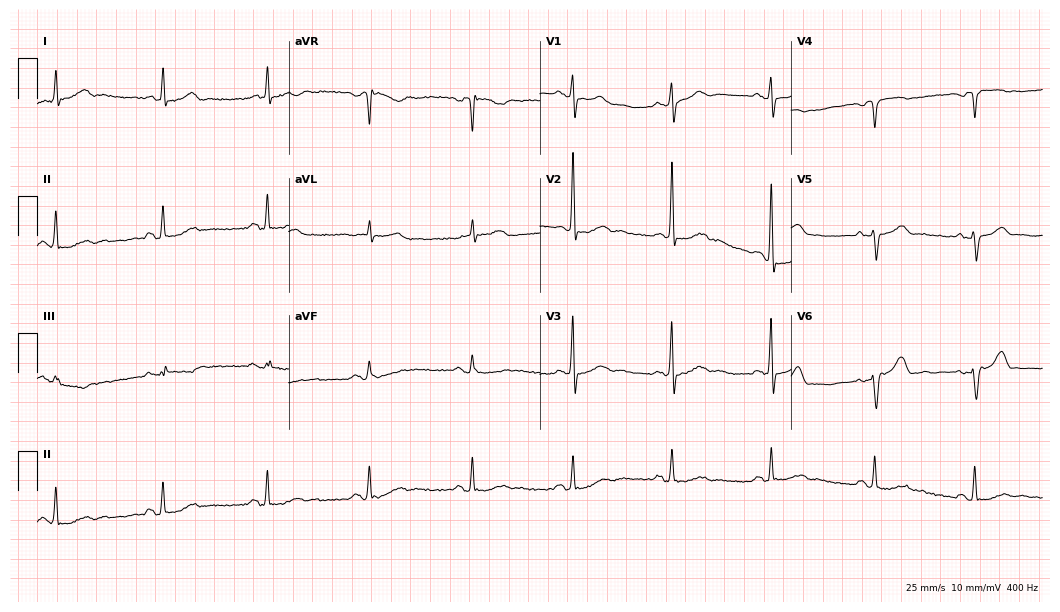
ECG (10.2-second recording at 400 Hz) — a 74-year-old male patient. Screened for six findings — first-degree AV block, right bundle branch block, left bundle branch block, sinus bradycardia, atrial fibrillation, sinus tachycardia — none is recorded. Findings outside these six are not listed.